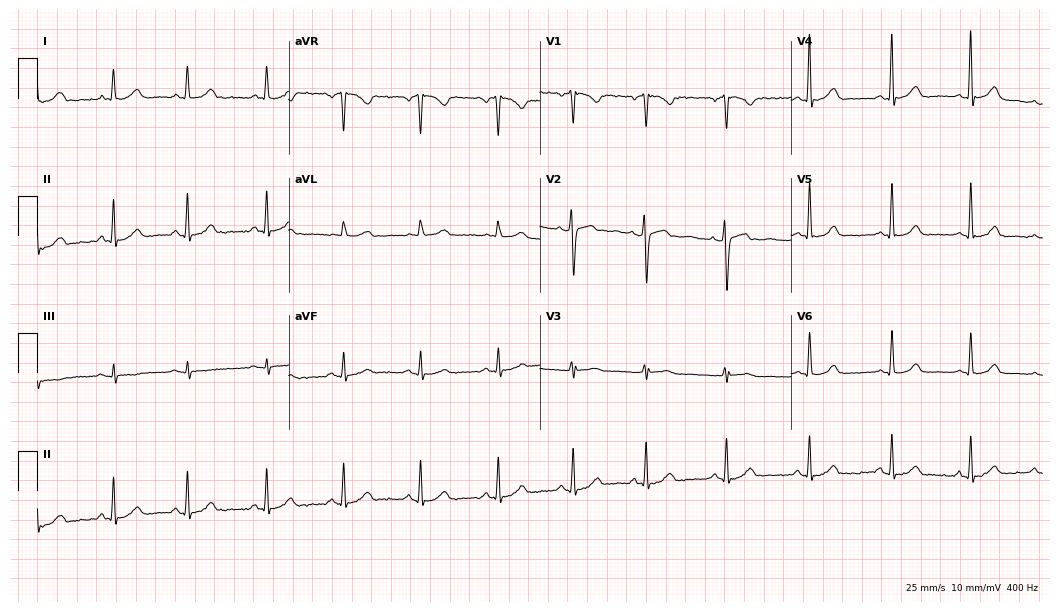
12-lead ECG (10.2-second recording at 400 Hz) from a female, 42 years old. Screened for six findings — first-degree AV block, right bundle branch block (RBBB), left bundle branch block (LBBB), sinus bradycardia, atrial fibrillation (AF), sinus tachycardia — none is recorded. Only these six findings were labelled.